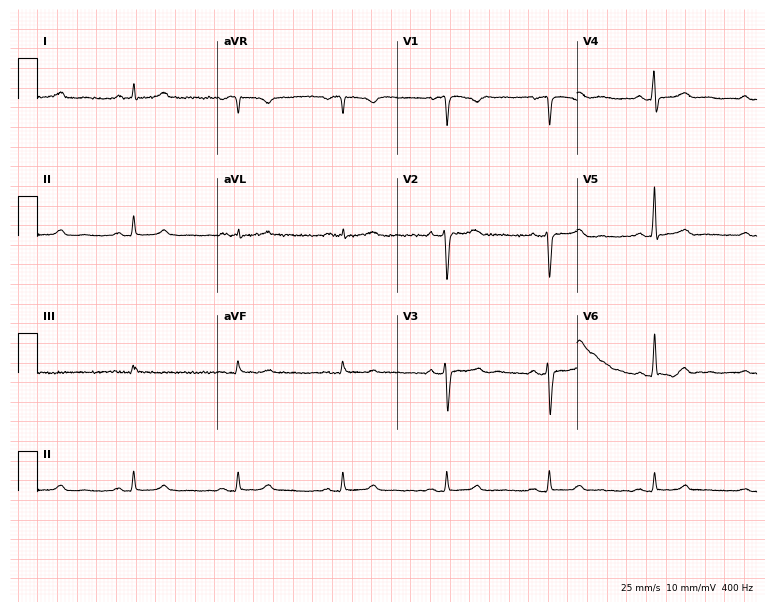
12-lead ECG from a male patient, 46 years old (7.3-second recording at 400 Hz). Recorded interpretation: within normal limits.